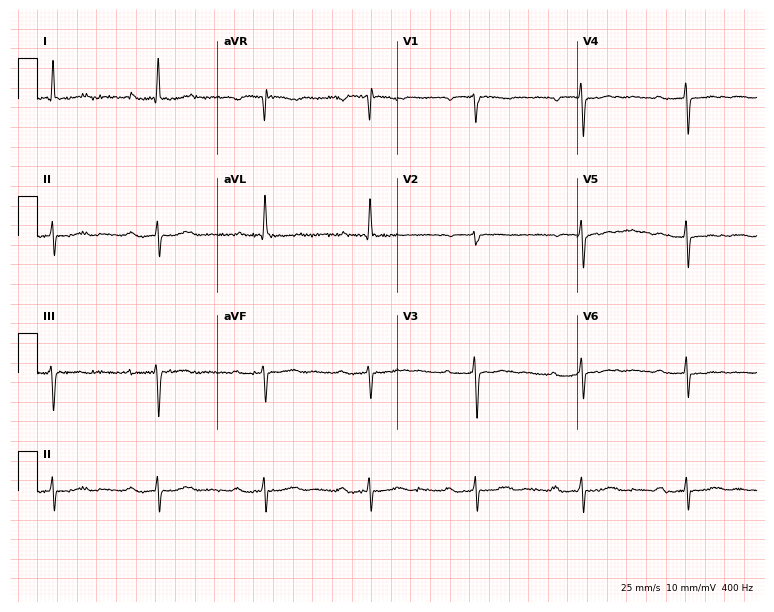
Standard 12-lead ECG recorded from a 61-year-old female (7.3-second recording at 400 Hz). The tracing shows first-degree AV block.